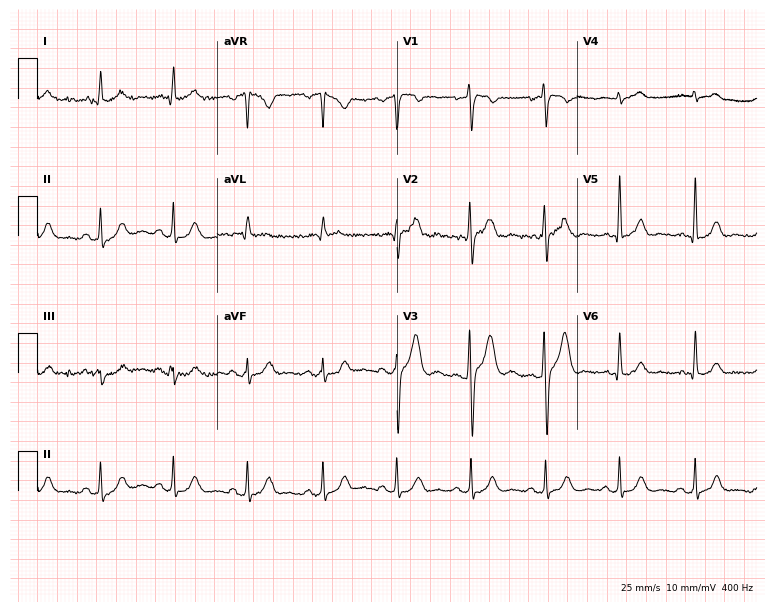
12-lead ECG from a 32-year-old man. Screened for six findings — first-degree AV block, right bundle branch block, left bundle branch block, sinus bradycardia, atrial fibrillation, sinus tachycardia — none is recorded. Other findings, if any, are not listed.